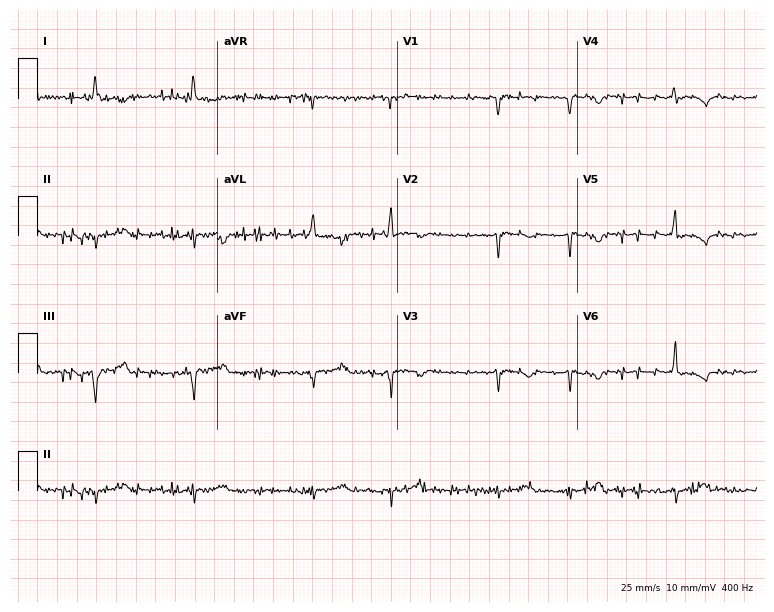
Resting 12-lead electrocardiogram. Patient: a male, 79 years old. None of these six findings is recorded: first-degree AV block, right bundle branch block, left bundle branch block, sinus bradycardia, atrial fibrillation, sinus tachycardia. Other findings, if any, are not listed.